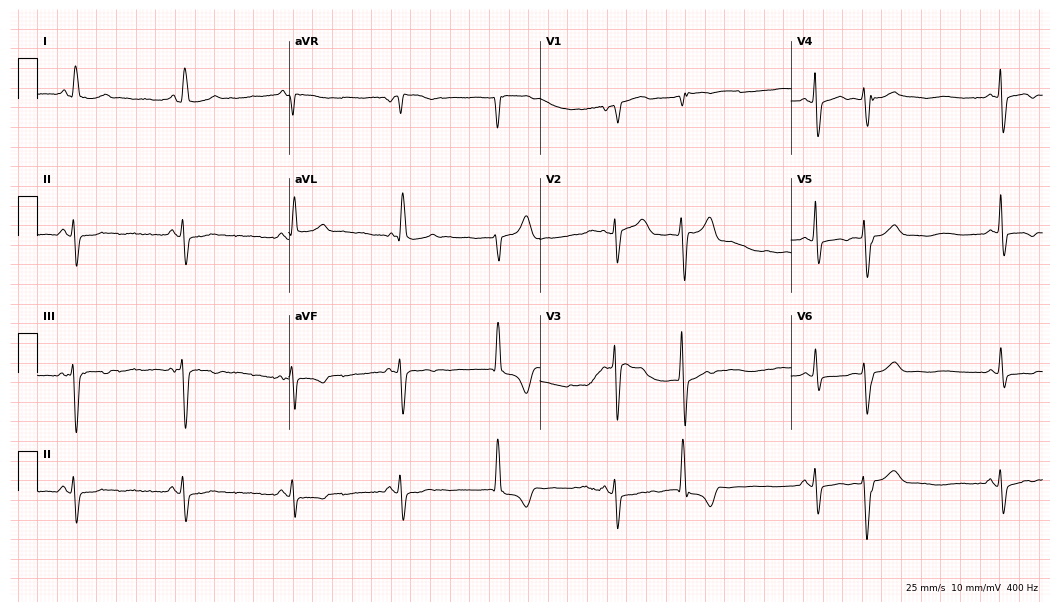
12-lead ECG from a 76-year-old woman. No first-degree AV block, right bundle branch block (RBBB), left bundle branch block (LBBB), sinus bradycardia, atrial fibrillation (AF) or sinus tachycardia recorded for this tracing. Findings outside these six are not listed.